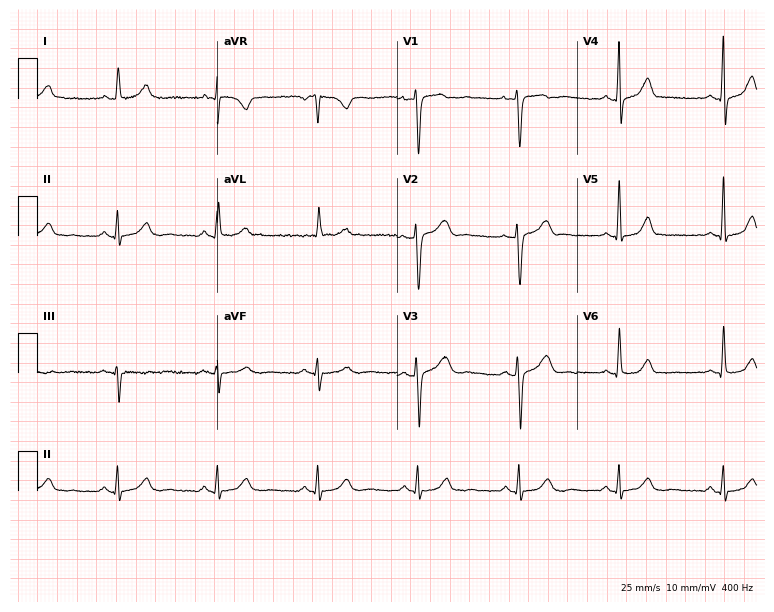
ECG — a woman, 47 years old. Labelled as a normal ECG.